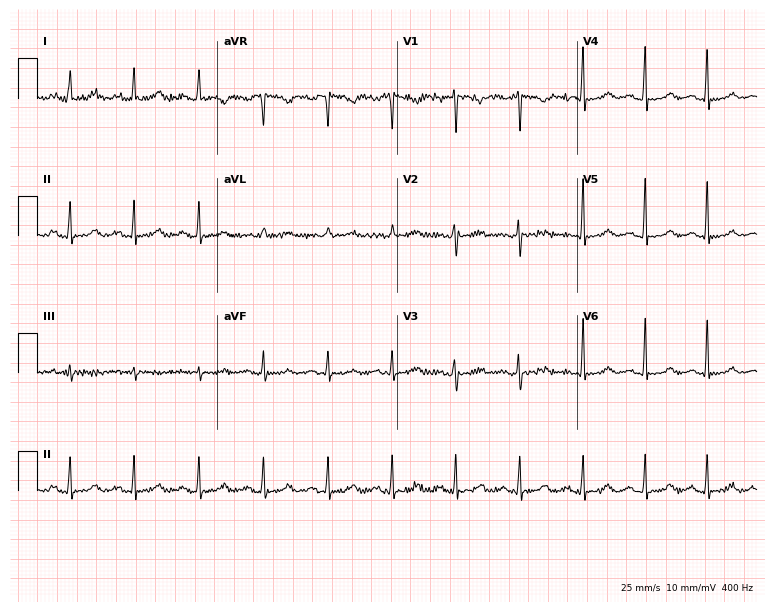
ECG (7.3-second recording at 400 Hz) — a 33-year-old woman. Labelled as a normal ECG.